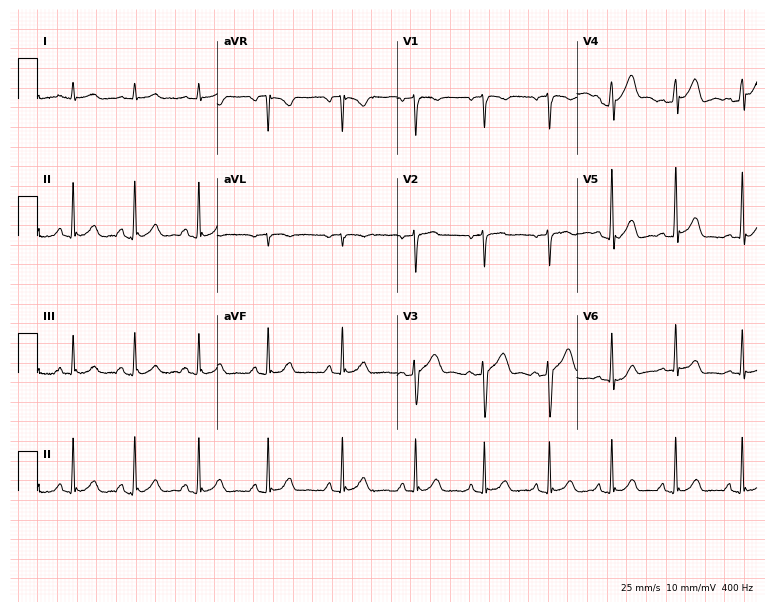
12-lead ECG from a male, 38 years old. Screened for six findings — first-degree AV block, right bundle branch block (RBBB), left bundle branch block (LBBB), sinus bradycardia, atrial fibrillation (AF), sinus tachycardia — none is recorded. Only these six findings were labelled.